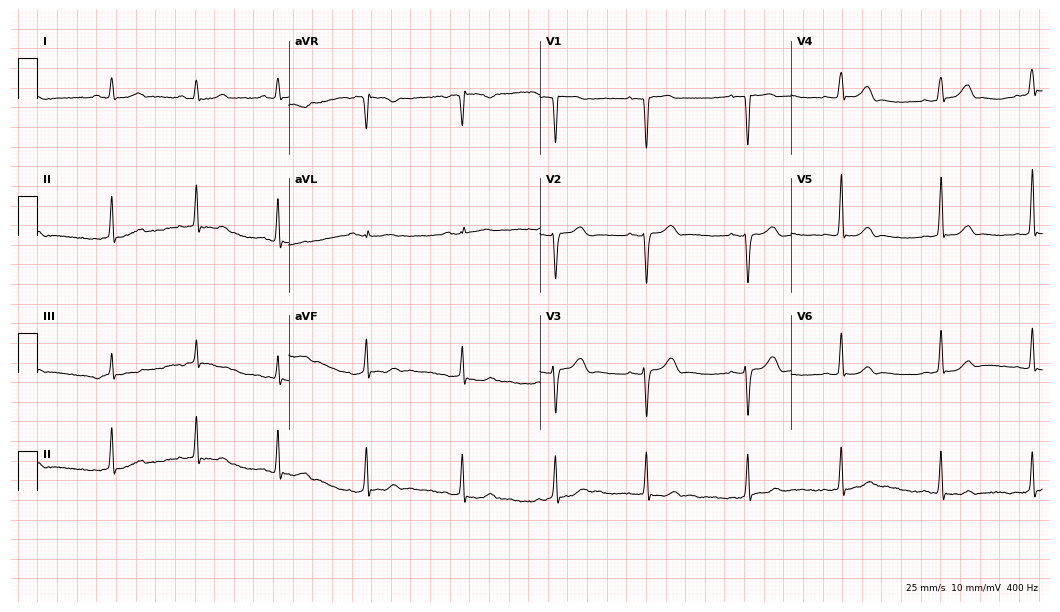
Resting 12-lead electrocardiogram (10.2-second recording at 400 Hz). Patient: a woman, 26 years old. None of these six findings is recorded: first-degree AV block, right bundle branch block (RBBB), left bundle branch block (LBBB), sinus bradycardia, atrial fibrillation (AF), sinus tachycardia.